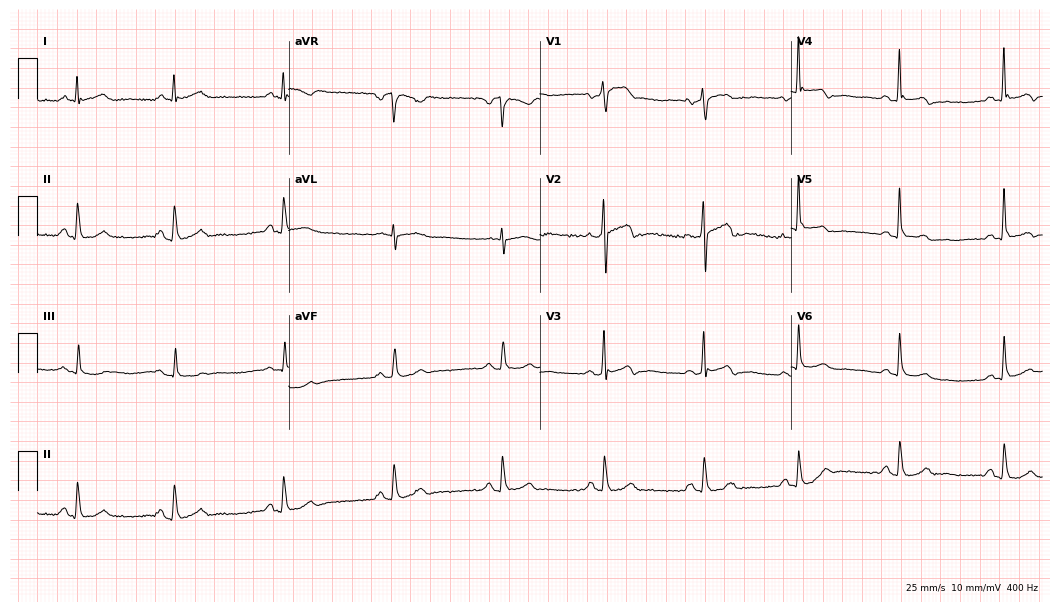
Electrocardiogram (10.2-second recording at 400 Hz), a man, 51 years old. Overall reading on record: normal ECG.